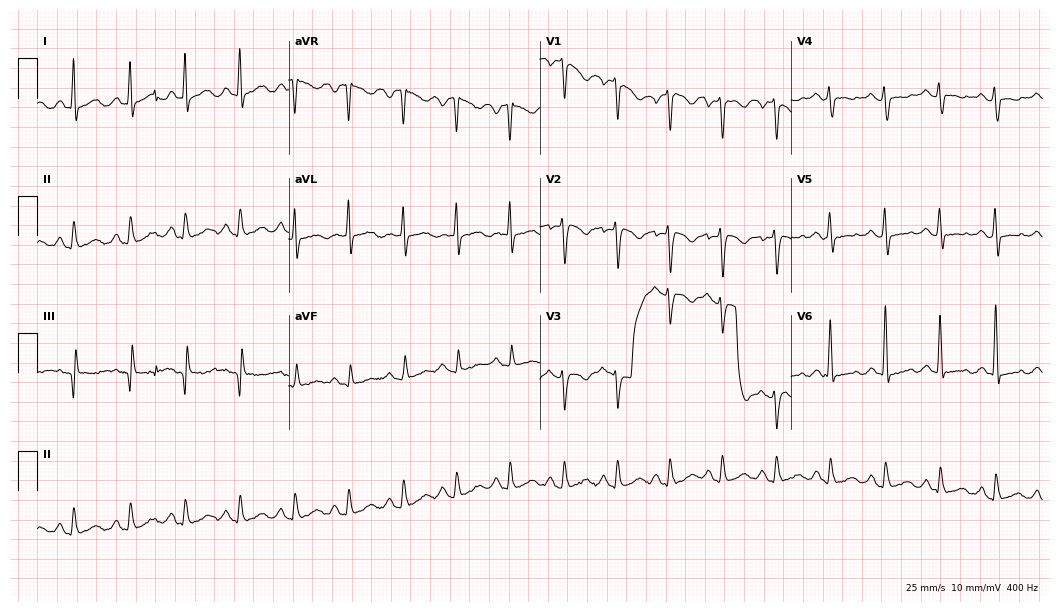
ECG (10.2-second recording at 400 Hz) — a 33-year-old man. Screened for six findings — first-degree AV block, right bundle branch block, left bundle branch block, sinus bradycardia, atrial fibrillation, sinus tachycardia — none is recorded.